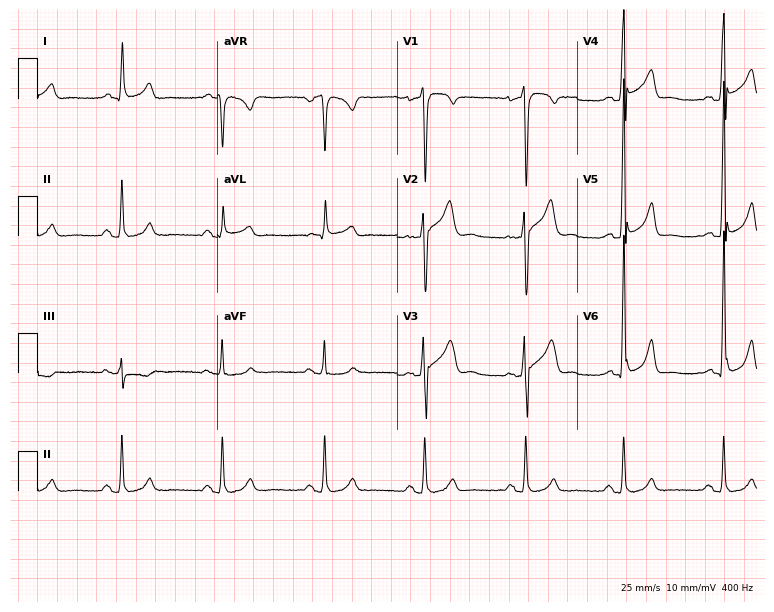
ECG (7.3-second recording at 400 Hz) — a man, 51 years old. Labelled as a normal ECG.